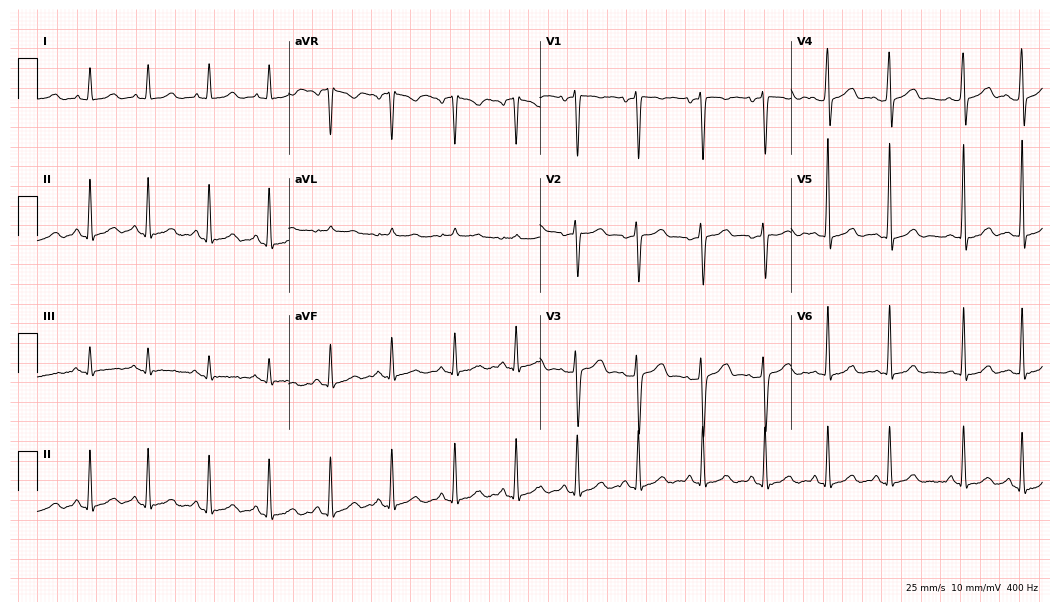
ECG (10.2-second recording at 400 Hz) — a 42-year-old woman. Labelled as a normal ECG.